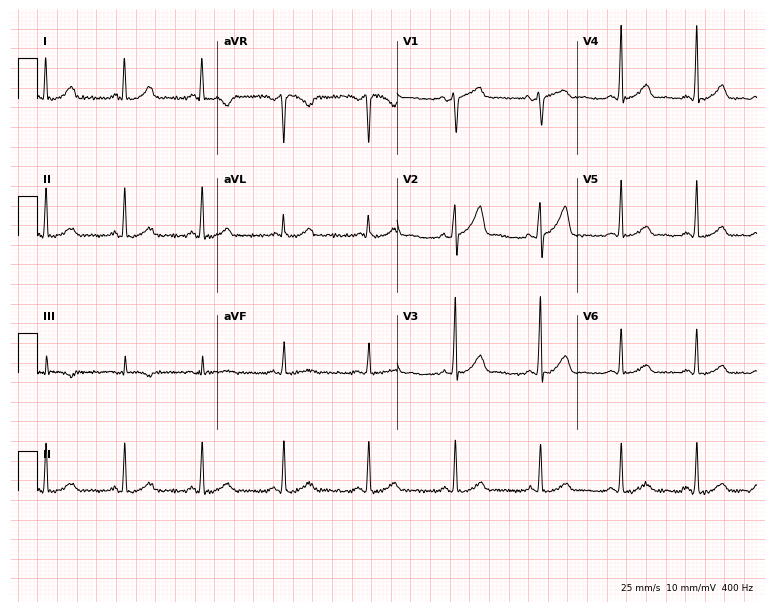
Electrocardiogram (7.3-second recording at 400 Hz), a 37-year-old woman. Overall reading on record: normal ECG.